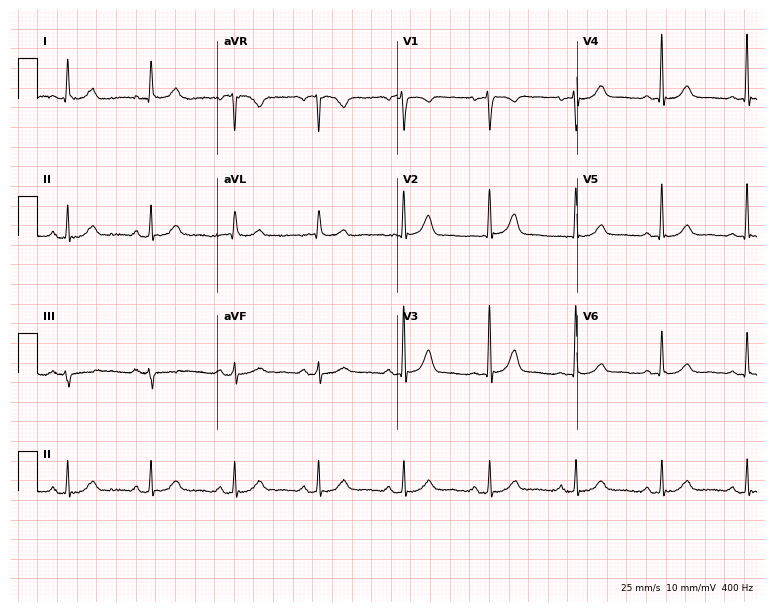
ECG — a male, 67 years old. Screened for six findings — first-degree AV block, right bundle branch block (RBBB), left bundle branch block (LBBB), sinus bradycardia, atrial fibrillation (AF), sinus tachycardia — none is recorded.